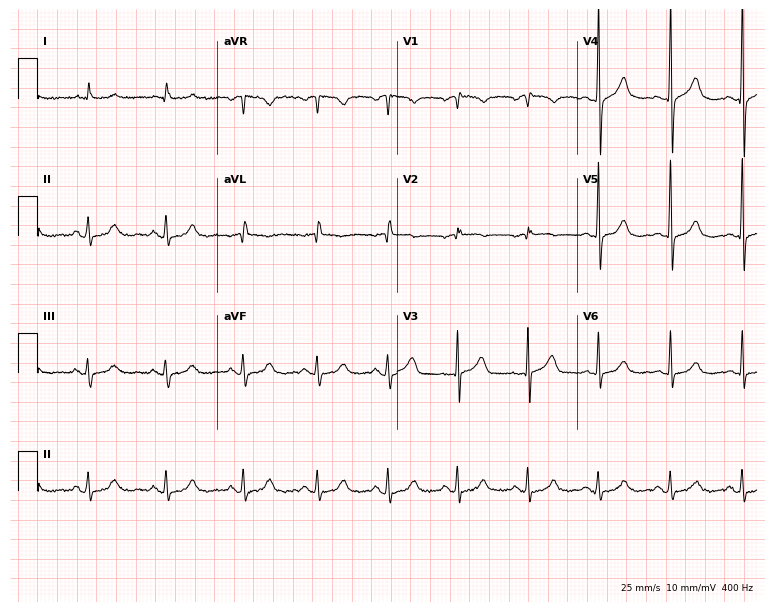
Standard 12-lead ECG recorded from a 70-year-old male patient. None of these six findings is recorded: first-degree AV block, right bundle branch block, left bundle branch block, sinus bradycardia, atrial fibrillation, sinus tachycardia. Findings outside these six are not listed.